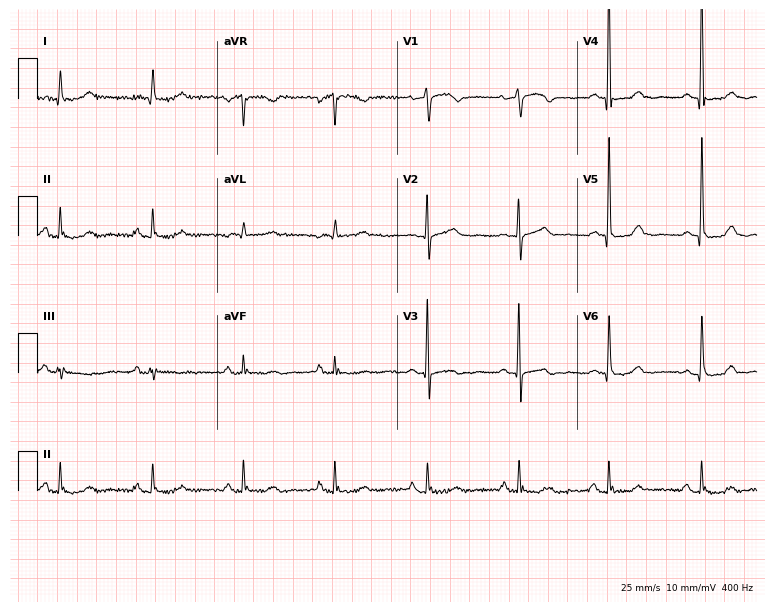
12-lead ECG (7.3-second recording at 400 Hz) from a woman, 79 years old. Screened for six findings — first-degree AV block, right bundle branch block (RBBB), left bundle branch block (LBBB), sinus bradycardia, atrial fibrillation (AF), sinus tachycardia — none is recorded. Other findings, if any, are not listed.